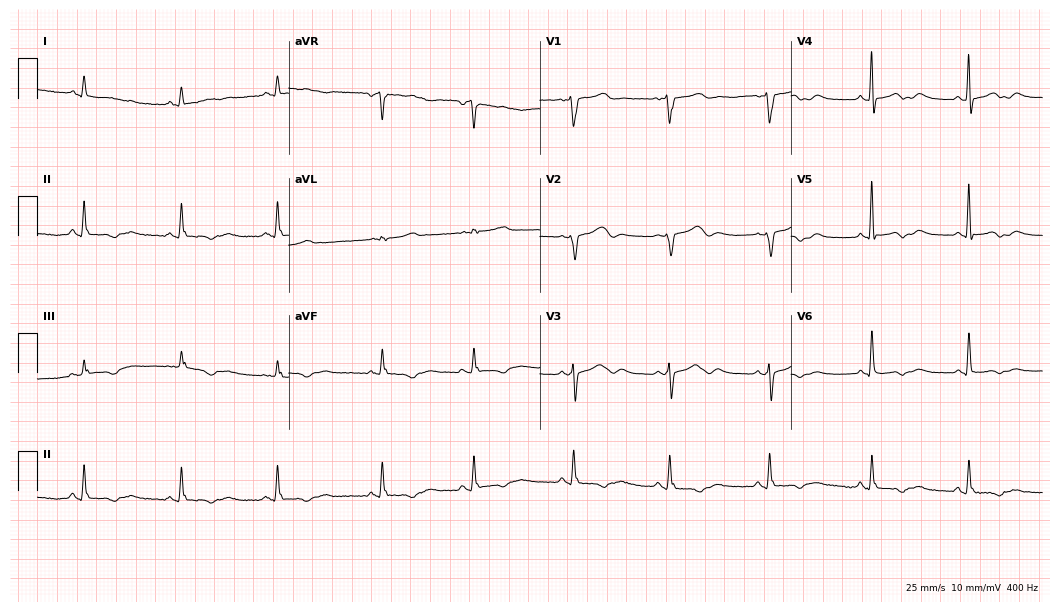
Electrocardiogram (10.2-second recording at 400 Hz), a 68-year-old woman. Of the six screened findings (first-degree AV block, right bundle branch block, left bundle branch block, sinus bradycardia, atrial fibrillation, sinus tachycardia), none is recorded. Findings outside these six are not listed.